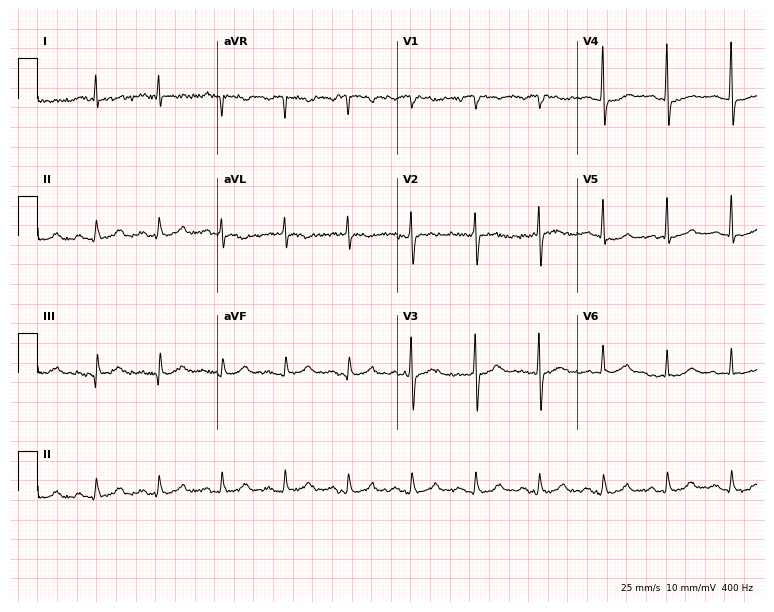
Resting 12-lead electrocardiogram (7.3-second recording at 400 Hz). Patient: a 70-year-old male. Read as a normal ECG.